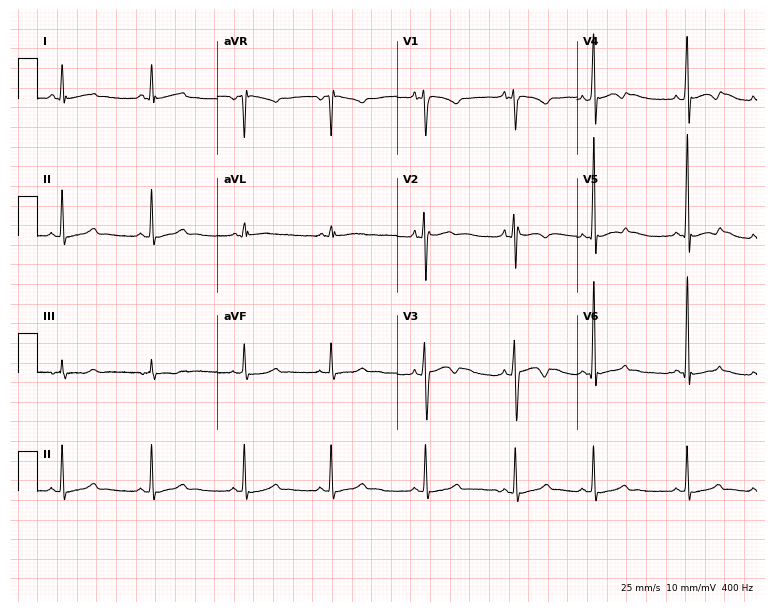
Electrocardiogram, a 17-year-old male patient. Overall reading on record: normal ECG.